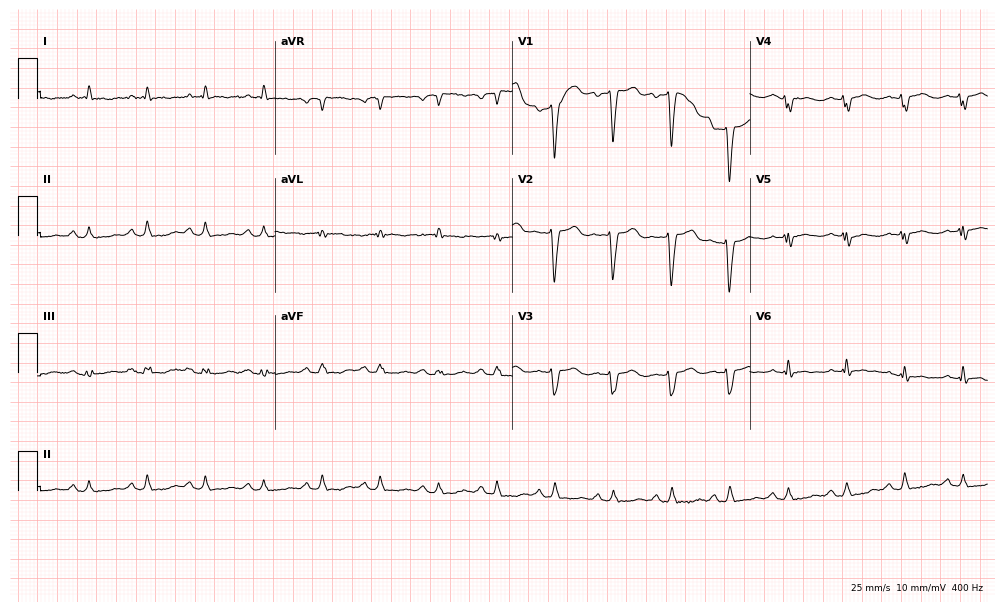
Electrocardiogram (9.7-second recording at 400 Hz), a female patient, 74 years old. Interpretation includes sinus tachycardia (a sinus rate of 100 beats per minute or more).